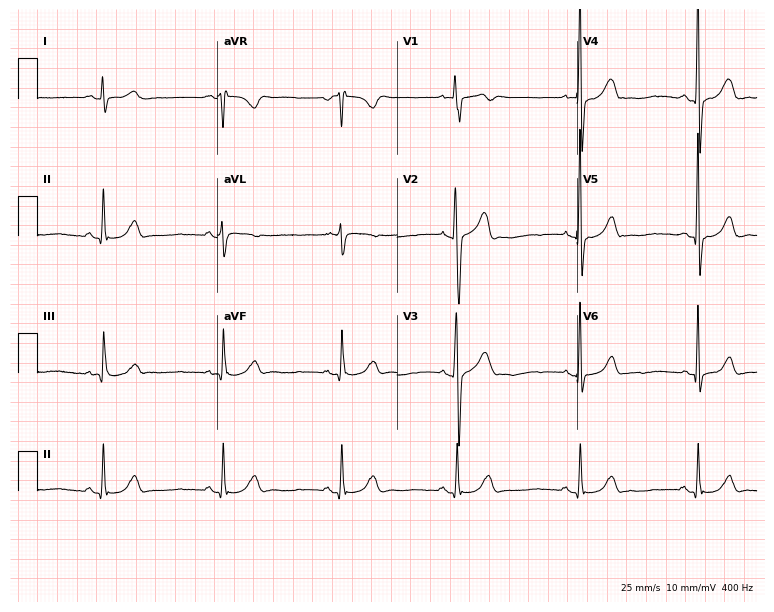
Standard 12-lead ECG recorded from a man, 40 years old. The tracing shows sinus bradycardia (a sinus rate of 50 beats per minute or less).